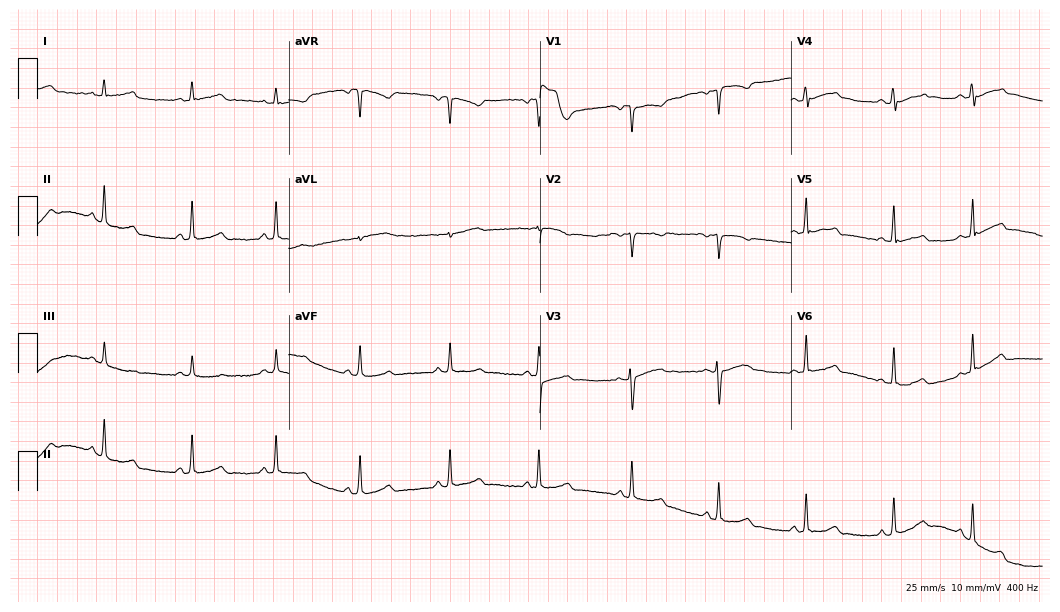
12-lead ECG from a woman, 19 years old. Screened for six findings — first-degree AV block, right bundle branch block, left bundle branch block, sinus bradycardia, atrial fibrillation, sinus tachycardia — none is recorded. Other findings, if any, are not listed.